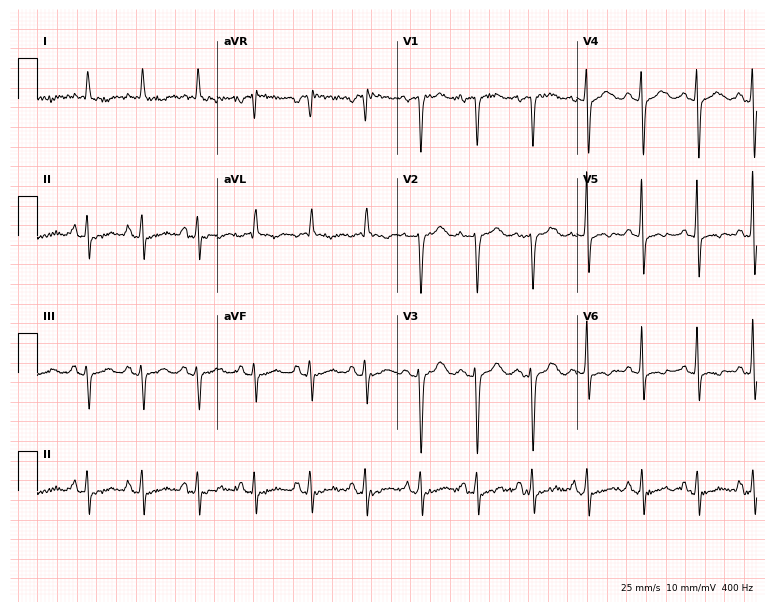
Standard 12-lead ECG recorded from a 74-year-old female. The tracing shows sinus tachycardia (a sinus rate of 100 beats per minute or more).